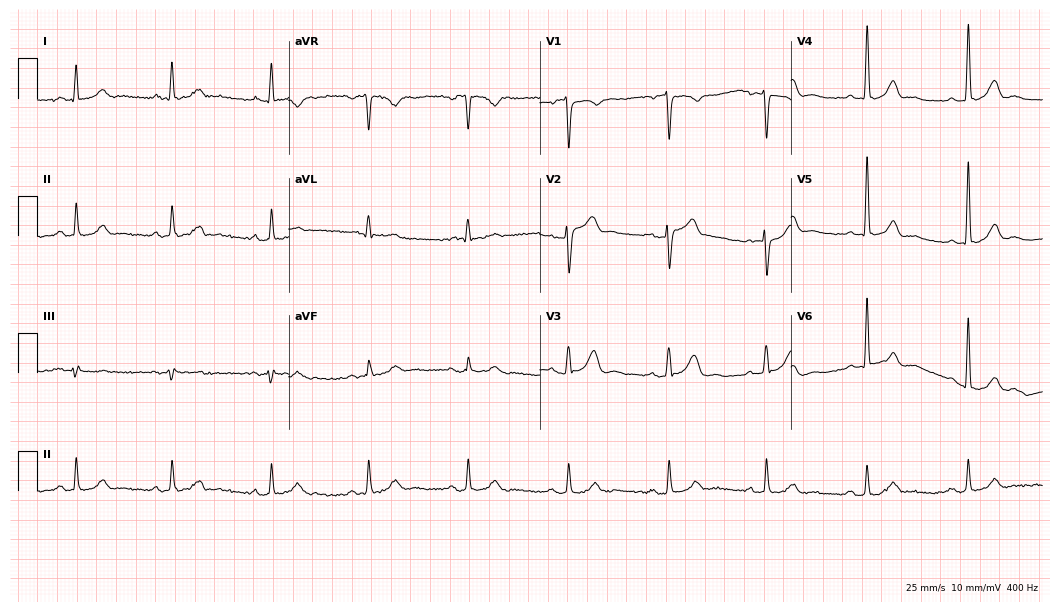
12-lead ECG from a 64-year-old man. Labelled as a normal ECG.